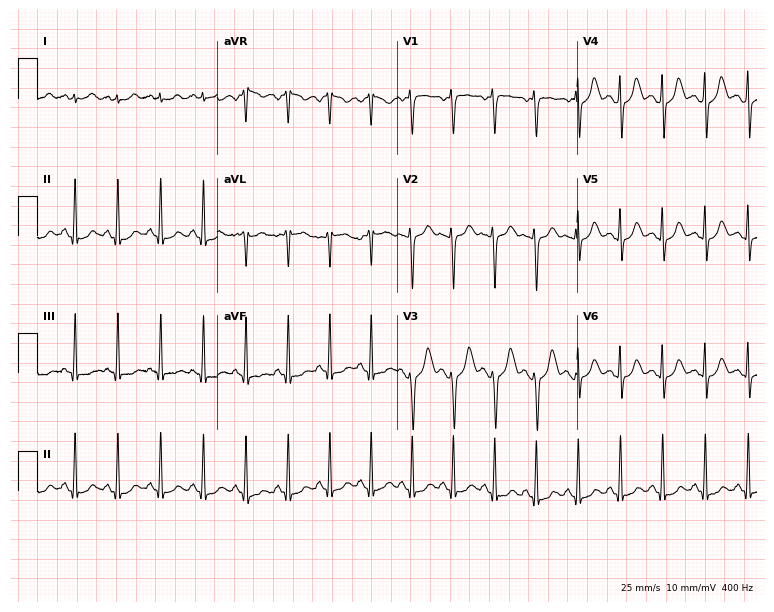
12-lead ECG from a 32-year-old female. Shows sinus tachycardia (a sinus rate of 100 beats per minute or more).